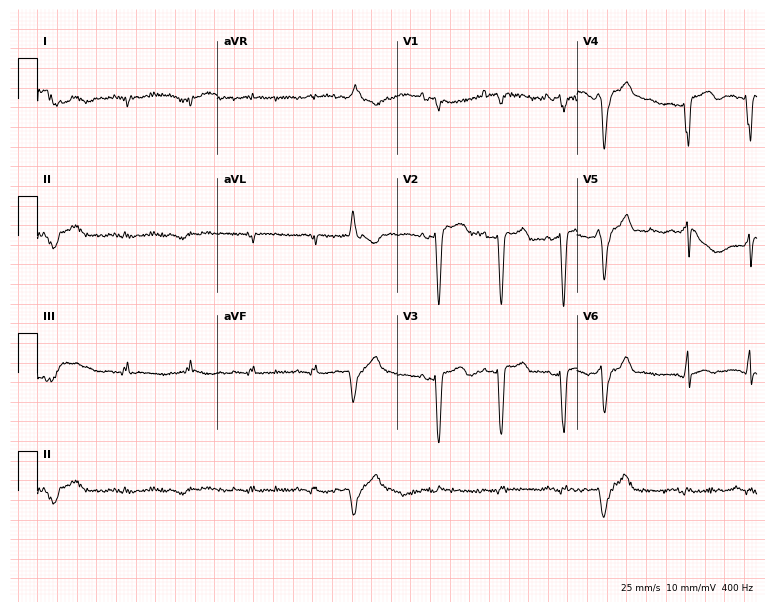
Resting 12-lead electrocardiogram. Patient: a male, 40 years old. None of these six findings is recorded: first-degree AV block, right bundle branch block, left bundle branch block, sinus bradycardia, atrial fibrillation, sinus tachycardia. Other findings, if any, are not listed.